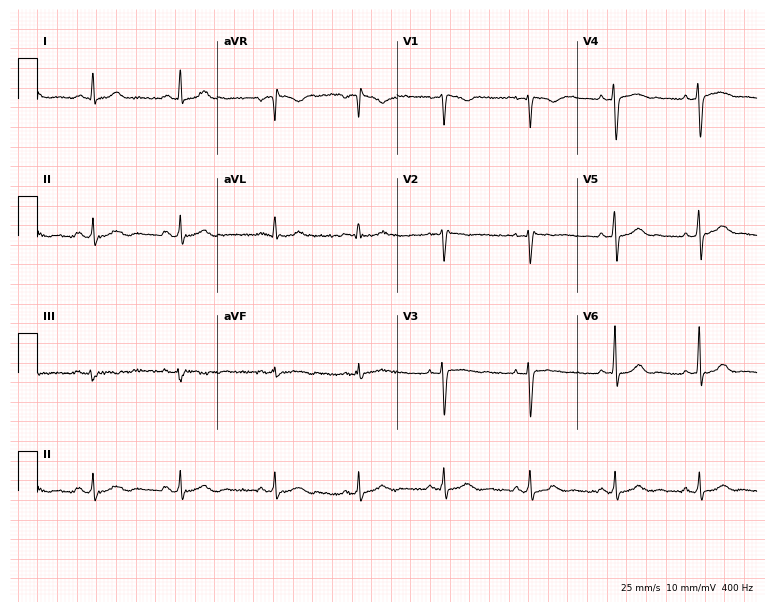
12-lead ECG from a female, 42 years old. Recorded interpretation: within normal limits.